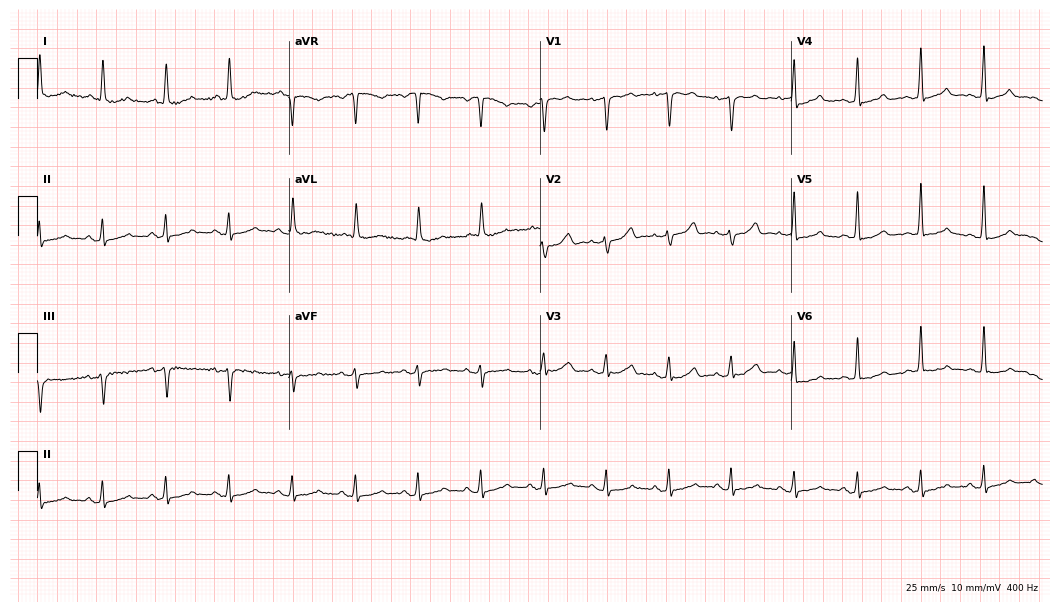
Electrocardiogram (10.2-second recording at 400 Hz), a 71-year-old woman. Of the six screened findings (first-degree AV block, right bundle branch block, left bundle branch block, sinus bradycardia, atrial fibrillation, sinus tachycardia), none is recorded.